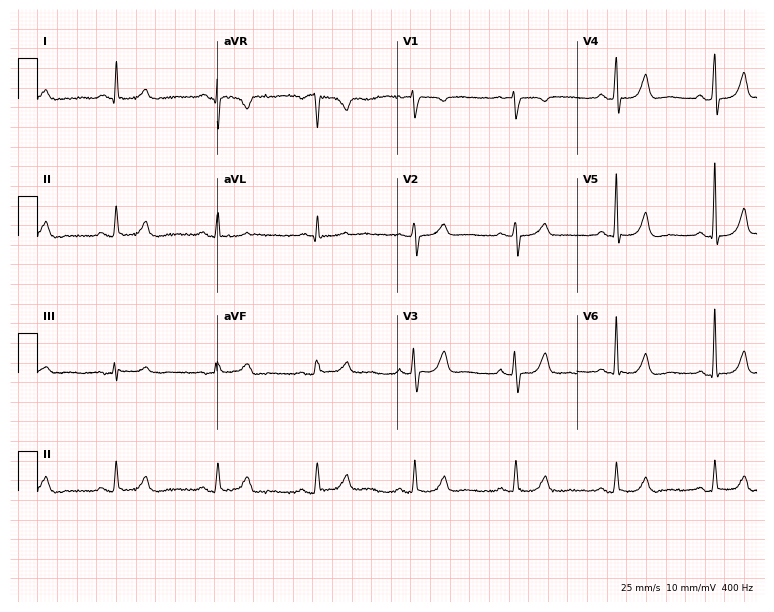
ECG (7.3-second recording at 400 Hz) — a woman, 73 years old. Labelled as a normal ECG.